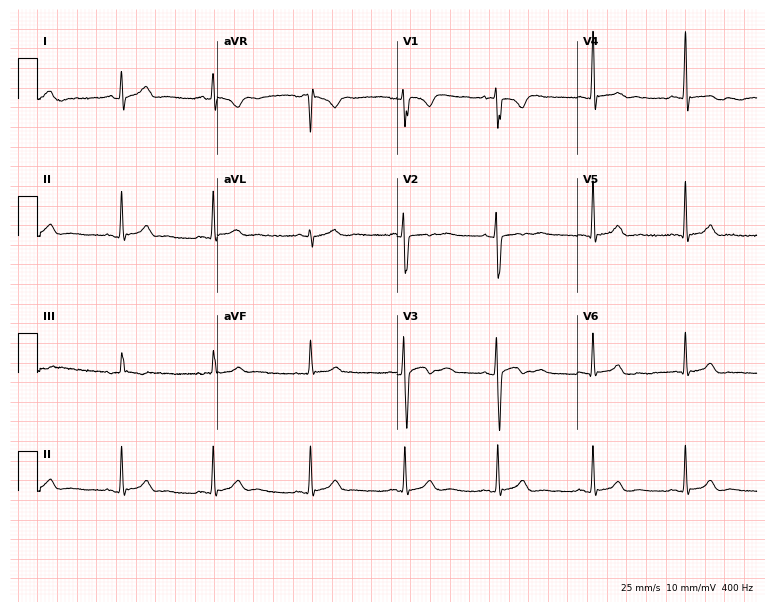
Resting 12-lead electrocardiogram. Patient: a man, 19 years old. Read as a normal ECG.